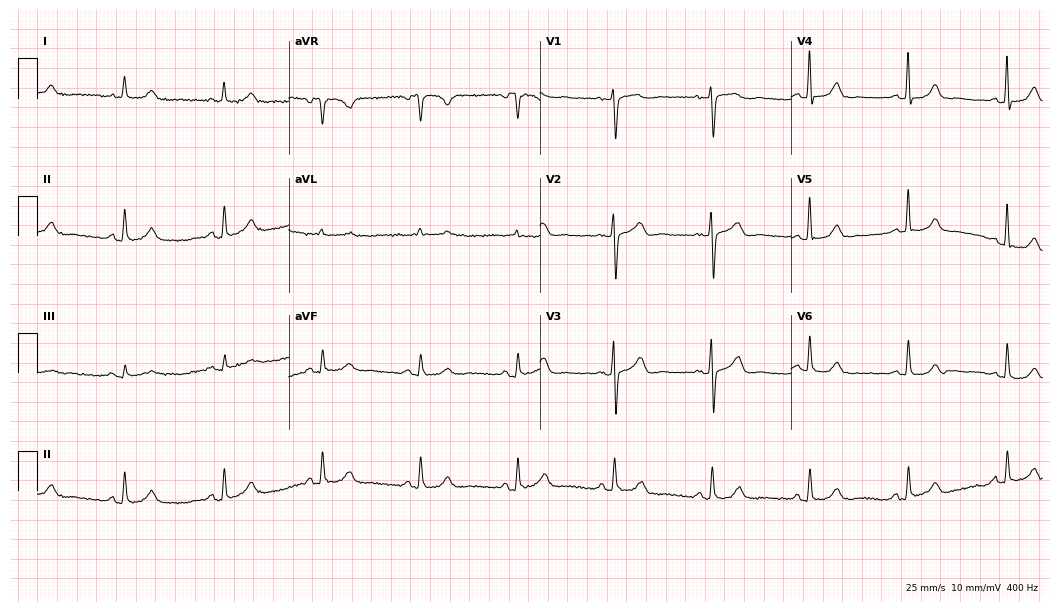
Electrocardiogram (10.2-second recording at 400 Hz), a 68-year-old female. Overall reading on record: normal ECG.